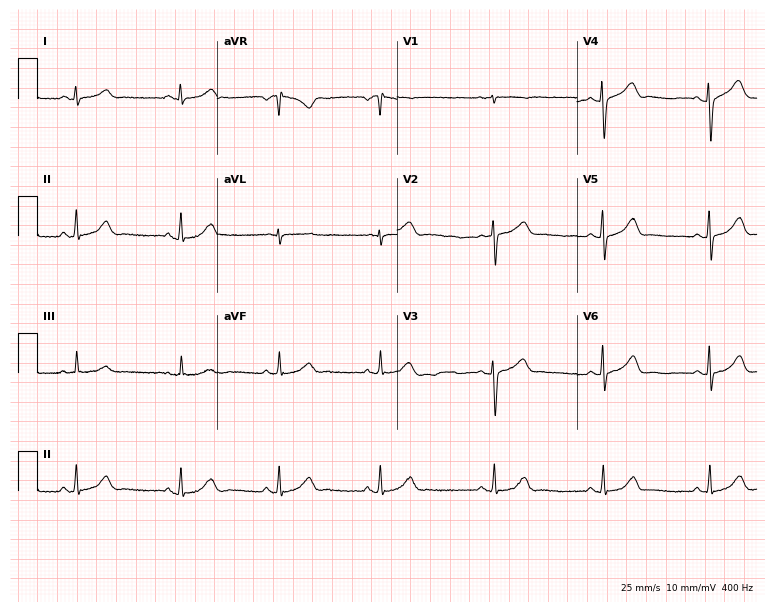
ECG (7.3-second recording at 400 Hz) — a female, 28 years old. Screened for six findings — first-degree AV block, right bundle branch block (RBBB), left bundle branch block (LBBB), sinus bradycardia, atrial fibrillation (AF), sinus tachycardia — none is recorded.